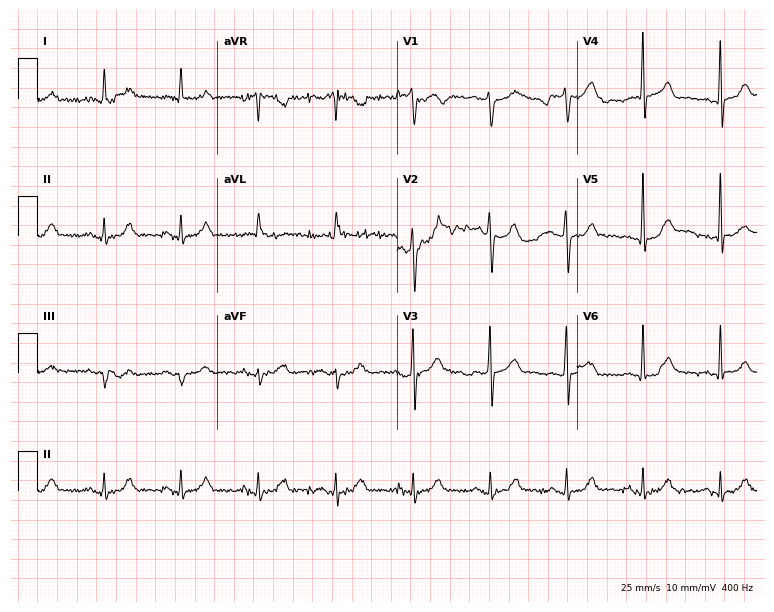
ECG (7.3-second recording at 400 Hz) — an 80-year-old male patient. Labelled as a normal ECG.